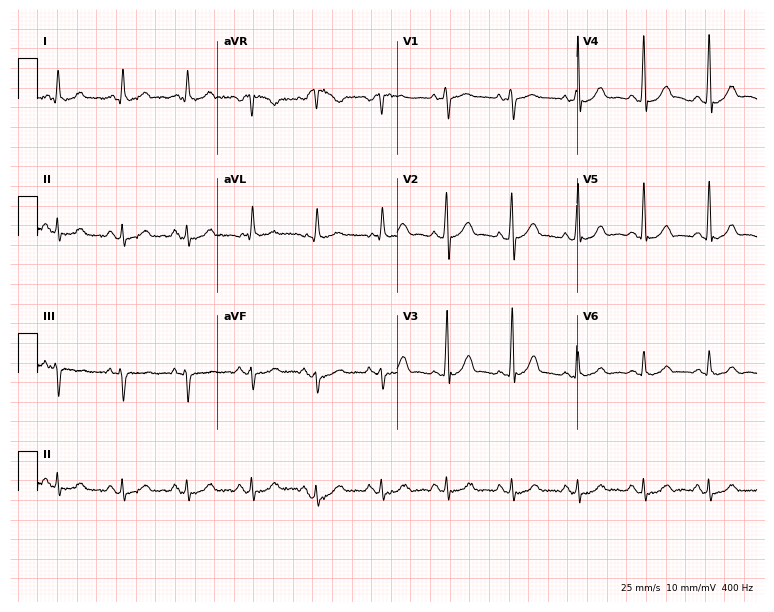
Electrocardiogram, a 65-year-old man. Overall reading on record: normal ECG.